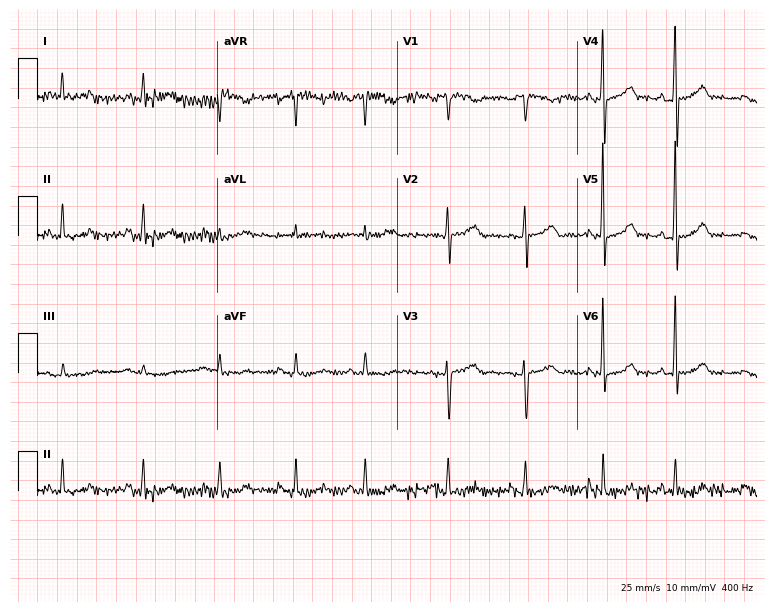
Standard 12-lead ECG recorded from a 77-year-old male patient. None of these six findings is recorded: first-degree AV block, right bundle branch block (RBBB), left bundle branch block (LBBB), sinus bradycardia, atrial fibrillation (AF), sinus tachycardia. Findings outside these six are not listed.